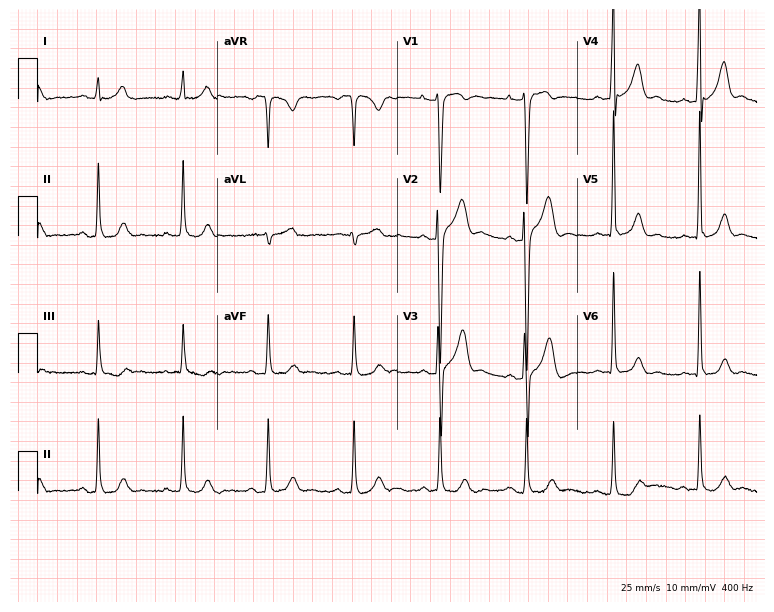
Electrocardiogram, a man, 38 years old. Of the six screened findings (first-degree AV block, right bundle branch block, left bundle branch block, sinus bradycardia, atrial fibrillation, sinus tachycardia), none is recorded.